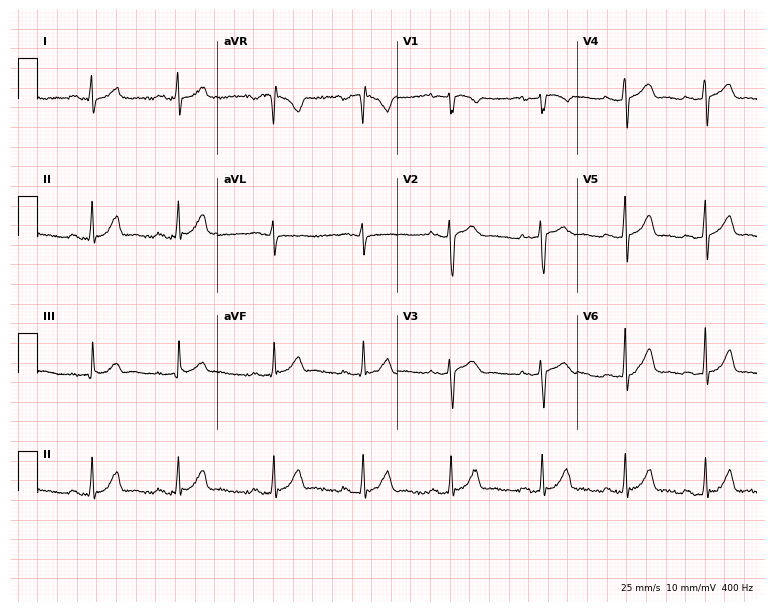
12-lead ECG from a female patient, 29 years old (7.3-second recording at 400 Hz). Recorded interpretation: within normal limits.